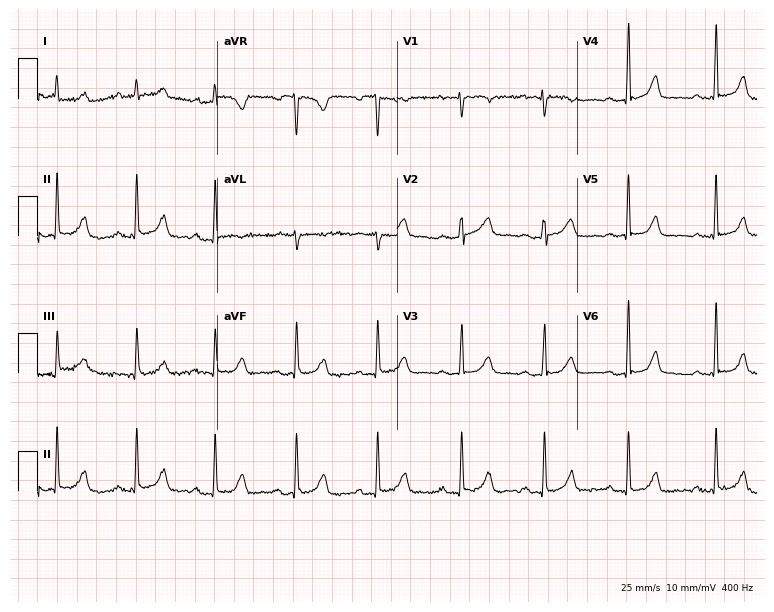
Electrocardiogram, a woman, 54 years old. Of the six screened findings (first-degree AV block, right bundle branch block, left bundle branch block, sinus bradycardia, atrial fibrillation, sinus tachycardia), none is recorded.